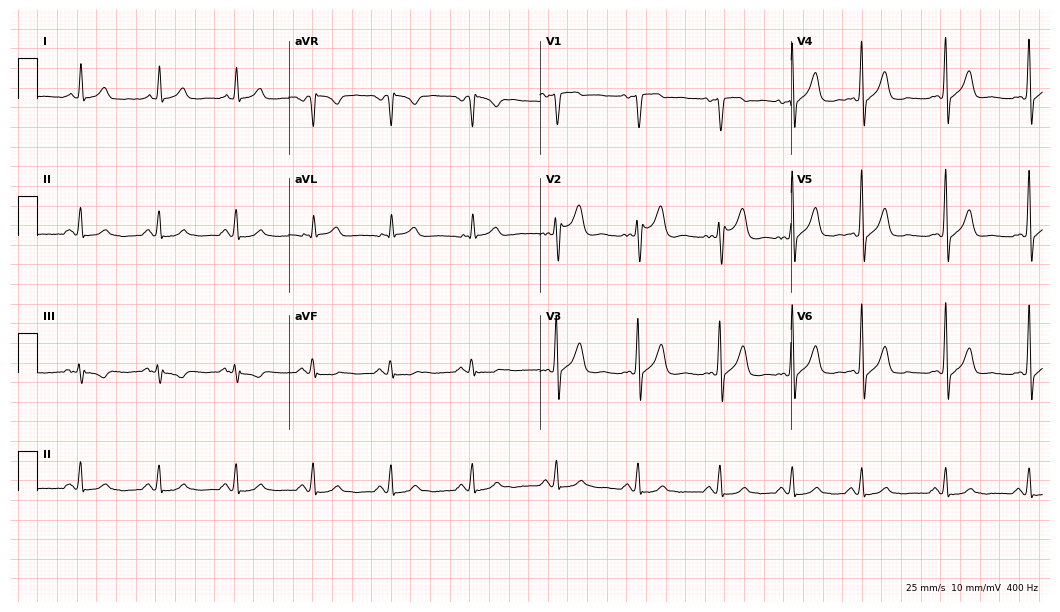
12-lead ECG from a male, 58 years old. Recorded interpretation: within normal limits.